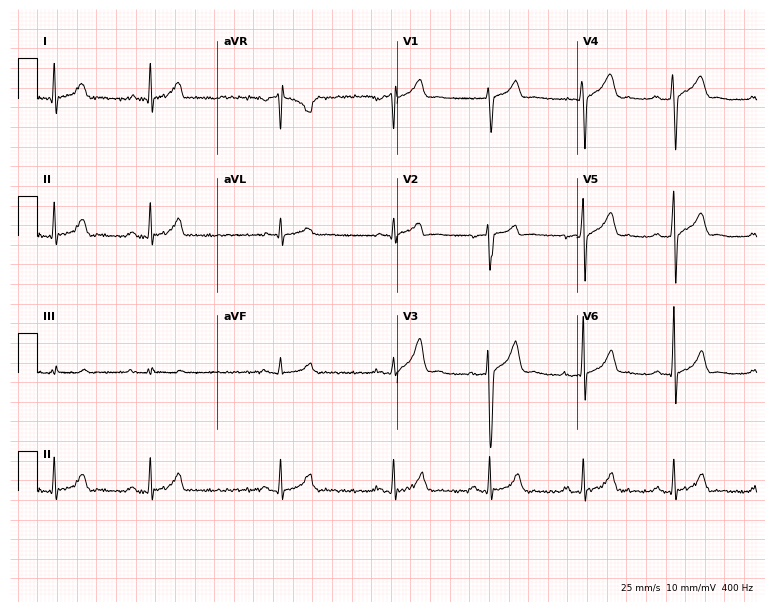
Resting 12-lead electrocardiogram (7.3-second recording at 400 Hz). Patient: a 31-year-old male. None of these six findings is recorded: first-degree AV block, right bundle branch block, left bundle branch block, sinus bradycardia, atrial fibrillation, sinus tachycardia.